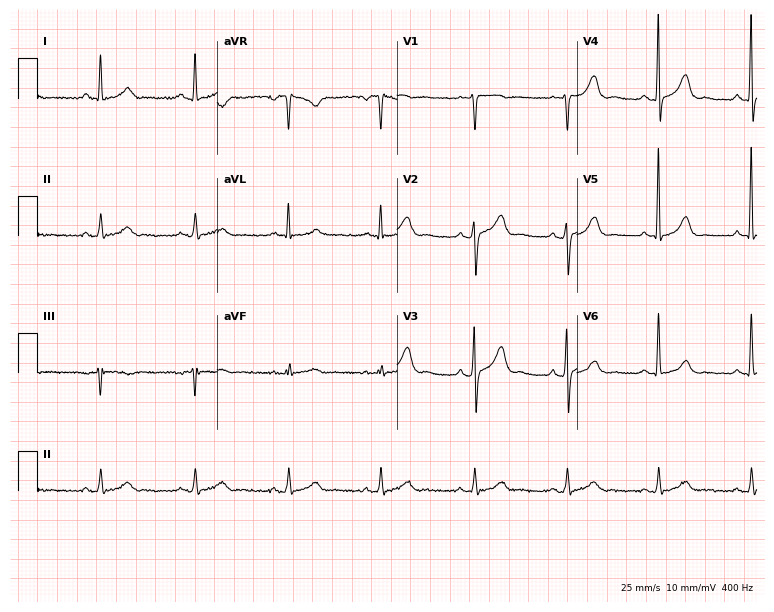
Electrocardiogram (7.3-second recording at 400 Hz), a 69-year-old male. Overall reading on record: normal ECG.